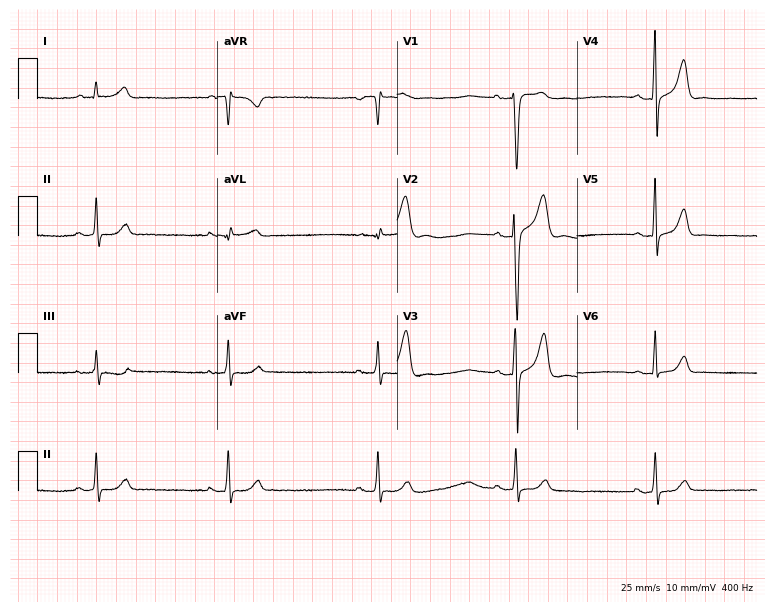
12-lead ECG (7.3-second recording at 400 Hz) from a 37-year-old man. Findings include sinus bradycardia (a sinus rate of 50 beats per minute or less).